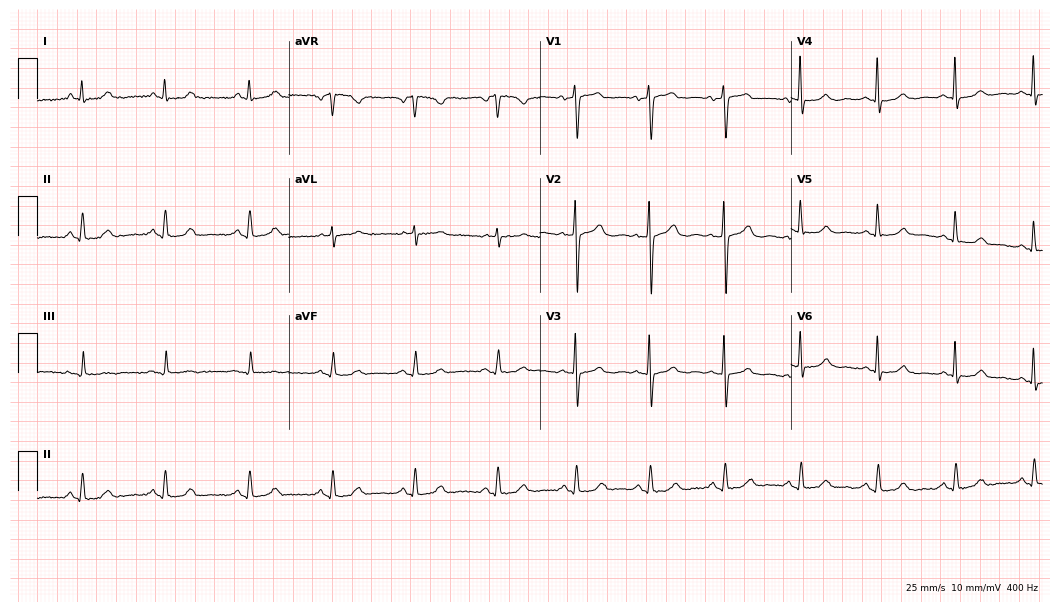
Electrocardiogram, a 77-year-old female. Overall reading on record: normal ECG.